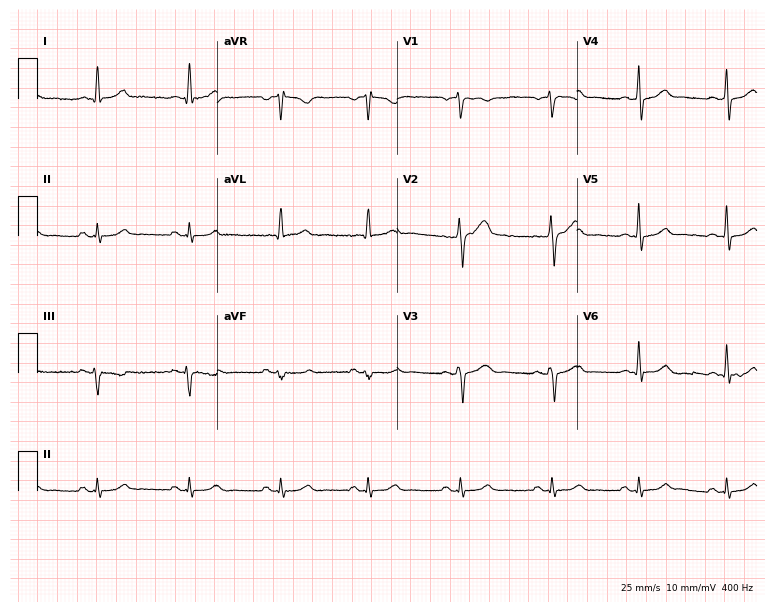
Standard 12-lead ECG recorded from a man, 49 years old. Read as a normal ECG.